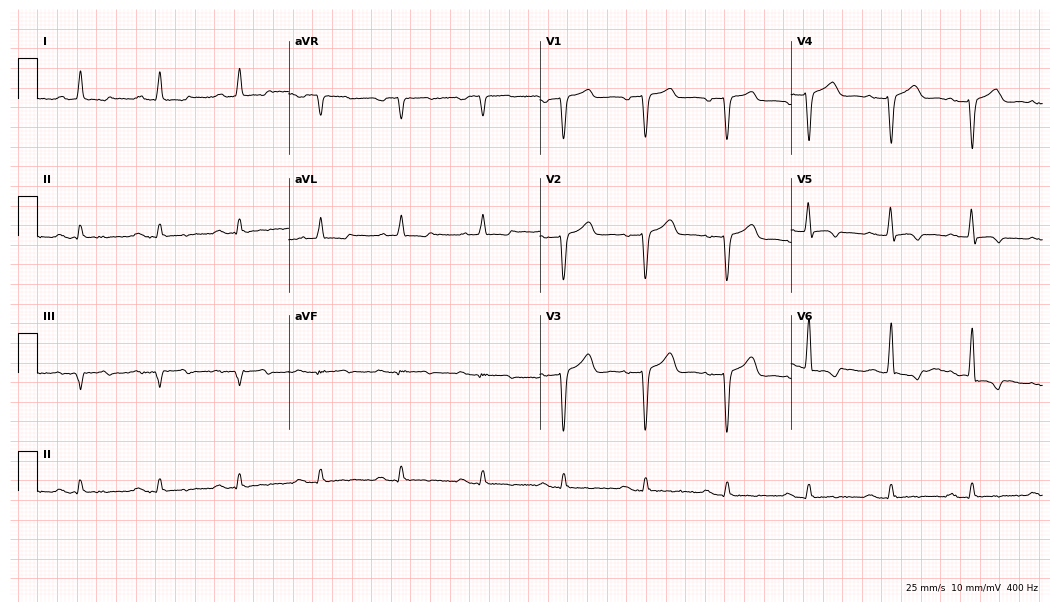
Standard 12-lead ECG recorded from a 71-year-old male patient (10.2-second recording at 400 Hz). None of these six findings is recorded: first-degree AV block, right bundle branch block (RBBB), left bundle branch block (LBBB), sinus bradycardia, atrial fibrillation (AF), sinus tachycardia. Other findings, if any, are not listed.